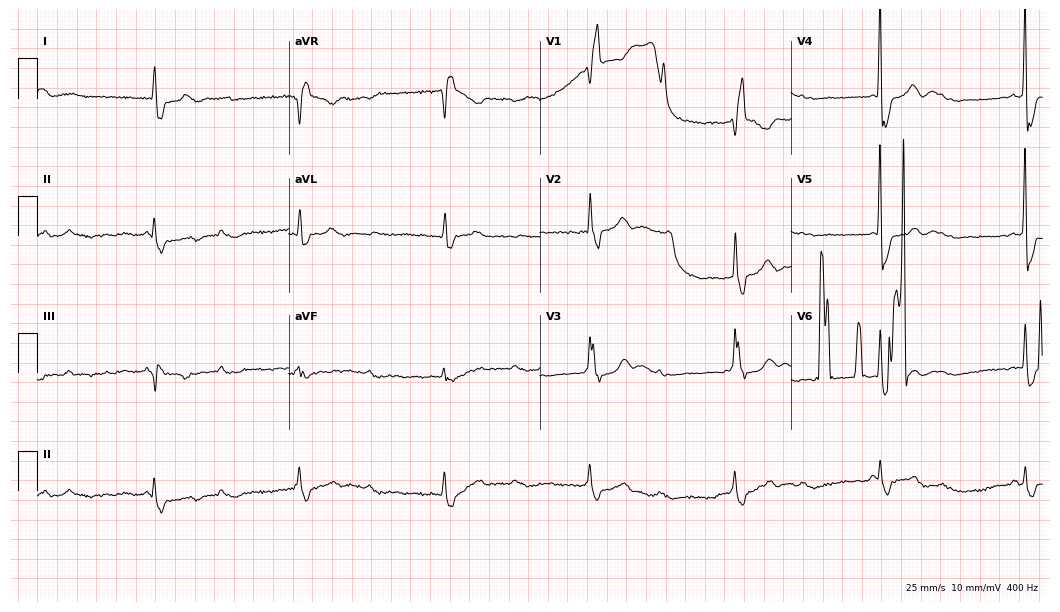
Standard 12-lead ECG recorded from an 85-year-old female. None of these six findings is recorded: first-degree AV block, right bundle branch block (RBBB), left bundle branch block (LBBB), sinus bradycardia, atrial fibrillation (AF), sinus tachycardia. Findings outside these six are not listed.